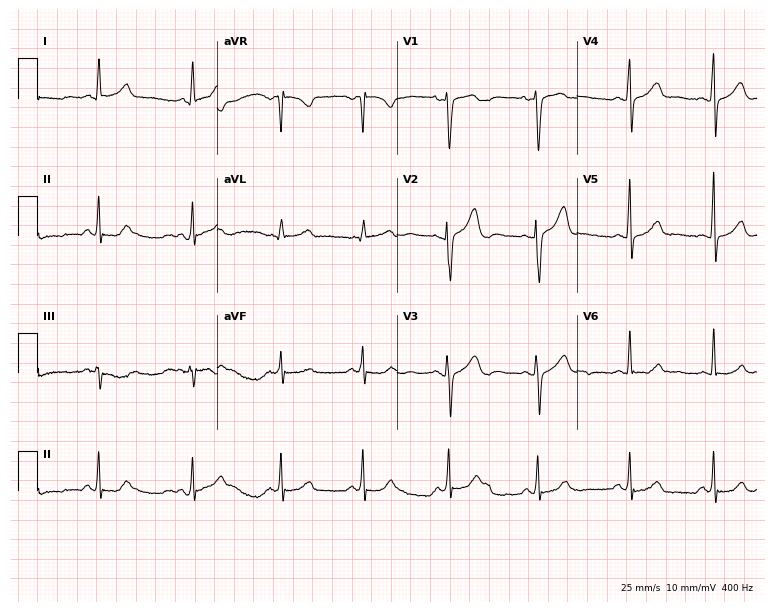
12-lead ECG from a female, 40 years old. Recorded interpretation: within normal limits.